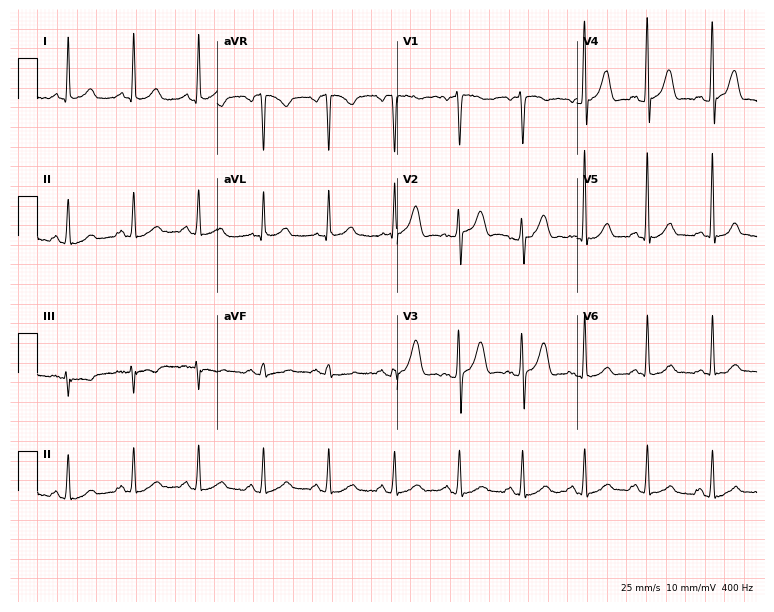
Standard 12-lead ECG recorded from a 44-year-old woman (7.3-second recording at 400 Hz). Read as a normal ECG.